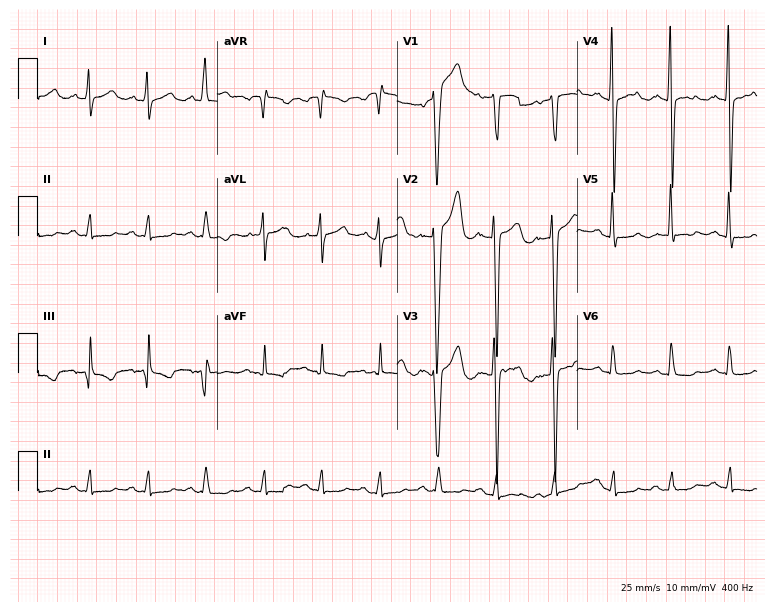
12-lead ECG (7.3-second recording at 400 Hz) from a male, 35 years old. Screened for six findings — first-degree AV block, right bundle branch block, left bundle branch block, sinus bradycardia, atrial fibrillation, sinus tachycardia — none is recorded. Only these six findings were labelled.